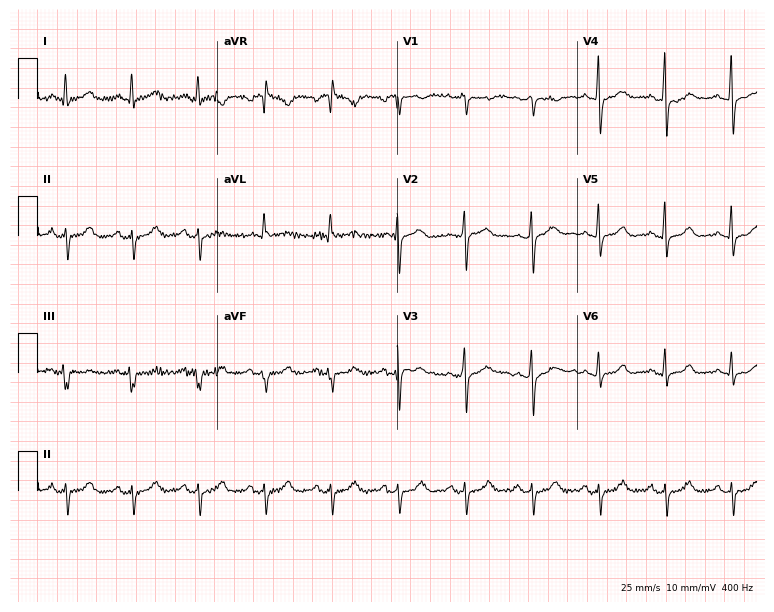
12-lead ECG (7.3-second recording at 400 Hz) from a female, 52 years old. Screened for six findings — first-degree AV block, right bundle branch block, left bundle branch block, sinus bradycardia, atrial fibrillation, sinus tachycardia — none is recorded. Findings outside these six are not listed.